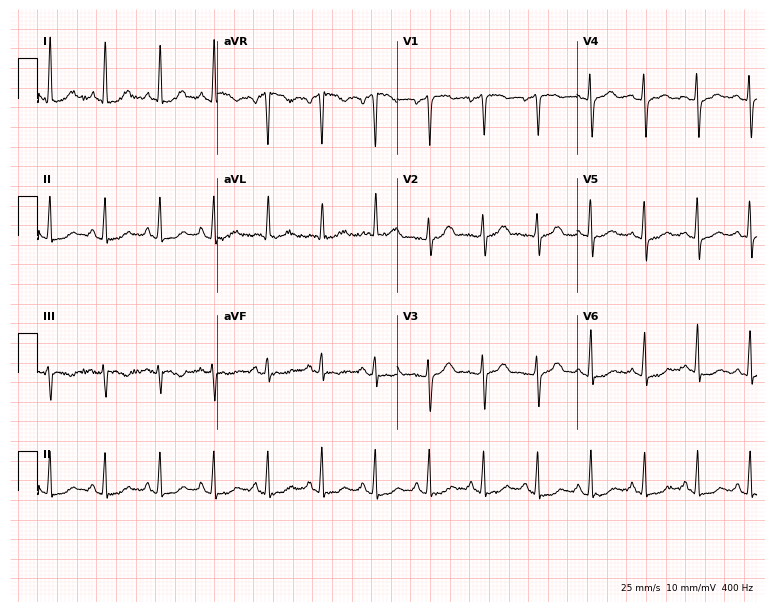
Electrocardiogram, a 58-year-old female patient. Interpretation includes sinus tachycardia (a sinus rate of 100 beats per minute or more).